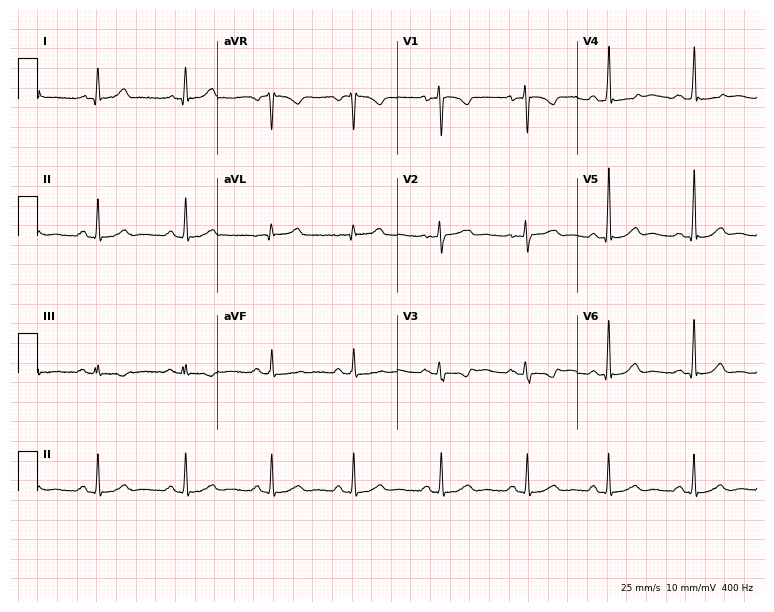
Resting 12-lead electrocardiogram (7.3-second recording at 400 Hz). Patient: a 25-year-old woman. Read as a normal ECG.